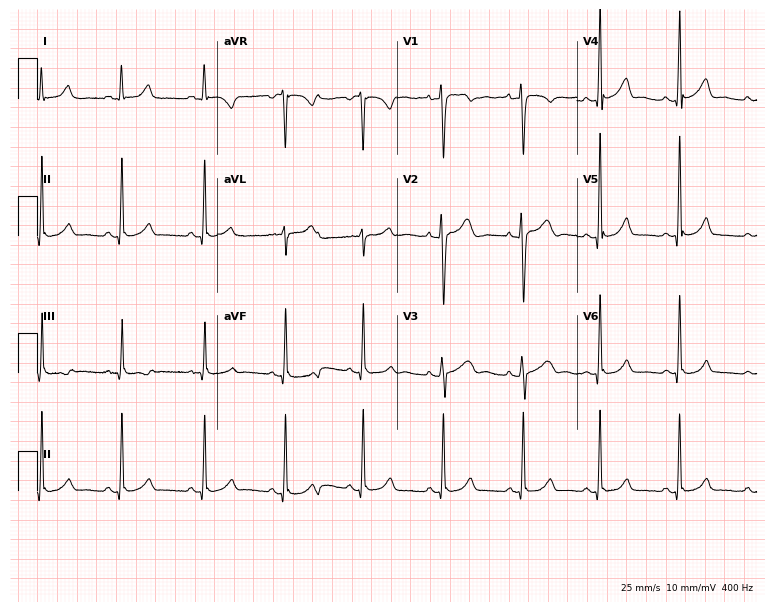
ECG (7.3-second recording at 400 Hz) — a 51-year-old female patient. Screened for six findings — first-degree AV block, right bundle branch block, left bundle branch block, sinus bradycardia, atrial fibrillation, sinus tachycardia — none is recorded. Other findings, if any, are not listed.